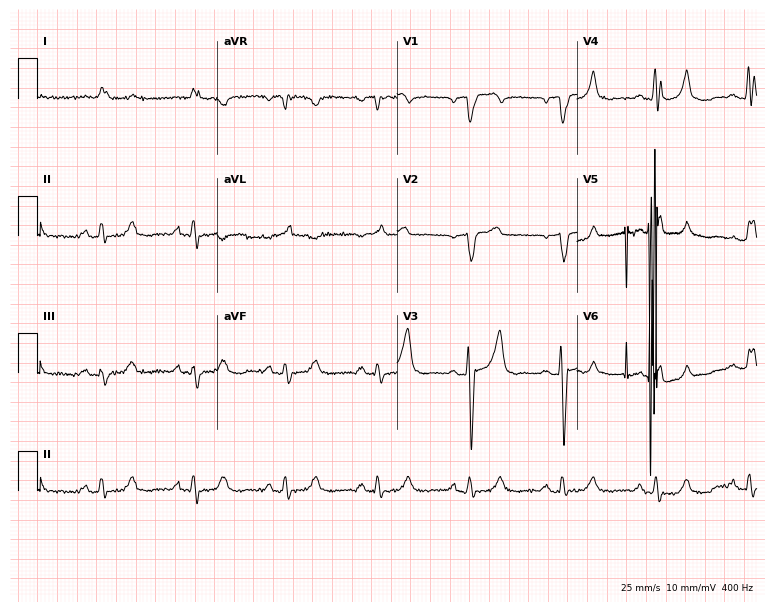
12-lead ECG from a male patient, 82 years old. Screened for six findings — first-degree AV block, right bundle branch block, left bundle branch block, sinus bradycardia, atrial fibrillation, sinus tachycardia — none is recorded. Only these six findings were labelled.